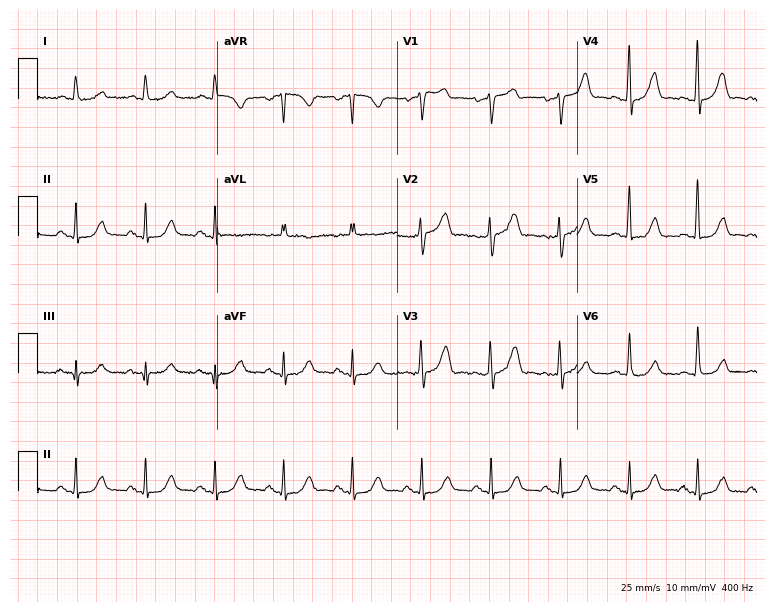
Standard 12-lead ECG recorded from a female, 75 years old (7.3-second recording at 400 Hz). None of these six findings is recorded: first-degree AV block, right bundle branch block, left bundle branch block, sinus bradycardia, atrial fibrillation, sinus tachycardia. Only these six findings were labelled.